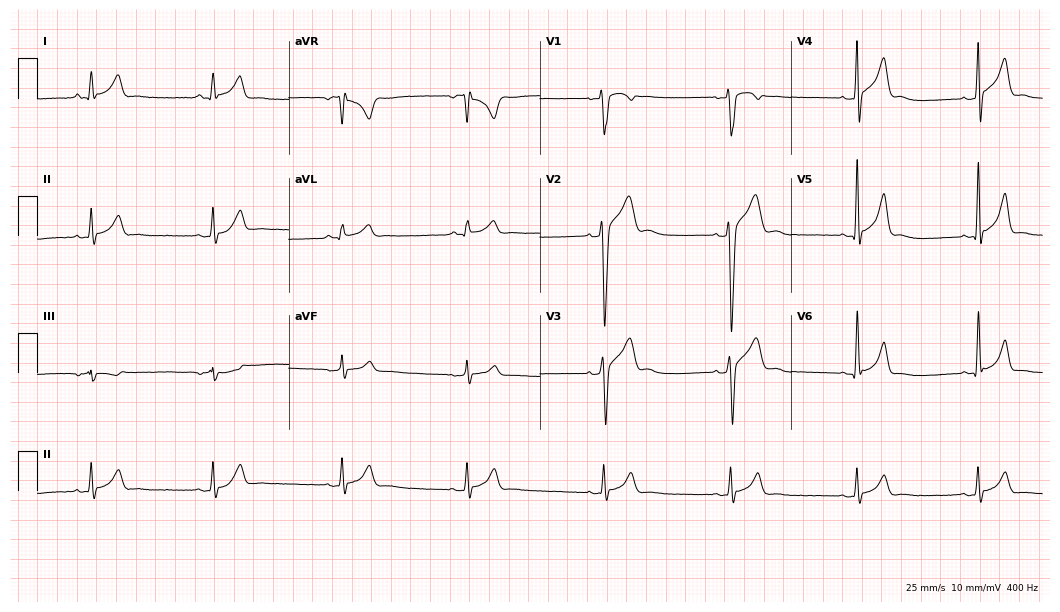
Electrocardiogram (10.2-second recording at 400 Hz), a 21-year-old man. Interpretation includes sinus bradycardia (a sinus rate of 50 beats per minute or less).